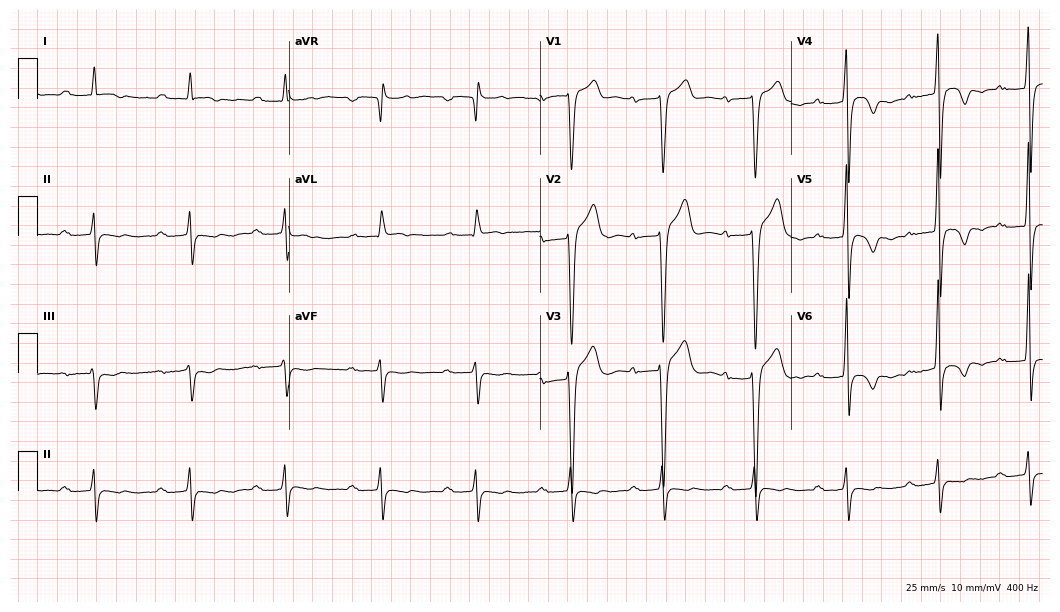
Electrocardiogram, a male patient, 57 years old. Interpretation includes first-degree AV block.